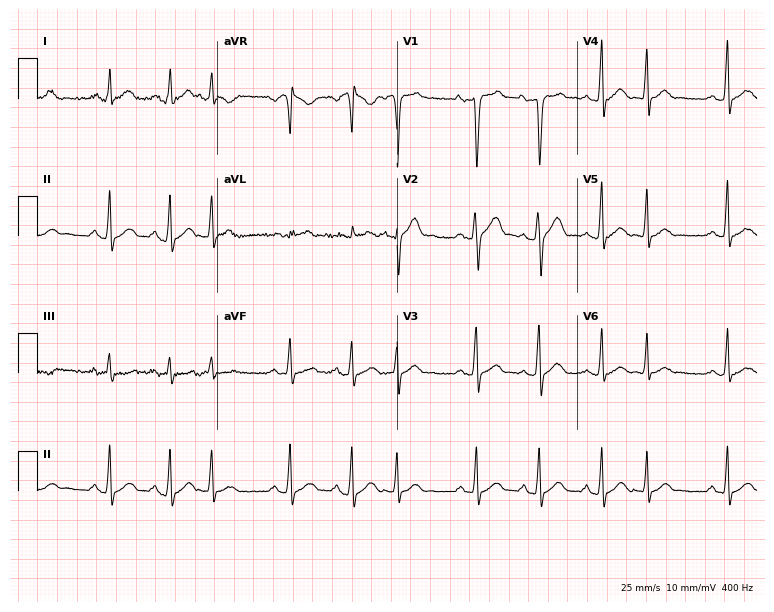
12-lead ECG from a 23-year-old male patient (7.3-second recording at 400 Hz). No first-degree AV block, right bundle branch block (RBBB), left bundle branch block (LBBB), sinus bradycardia, atrial fibrillation (AF) or sinus tachycardia recorded for this tracing.